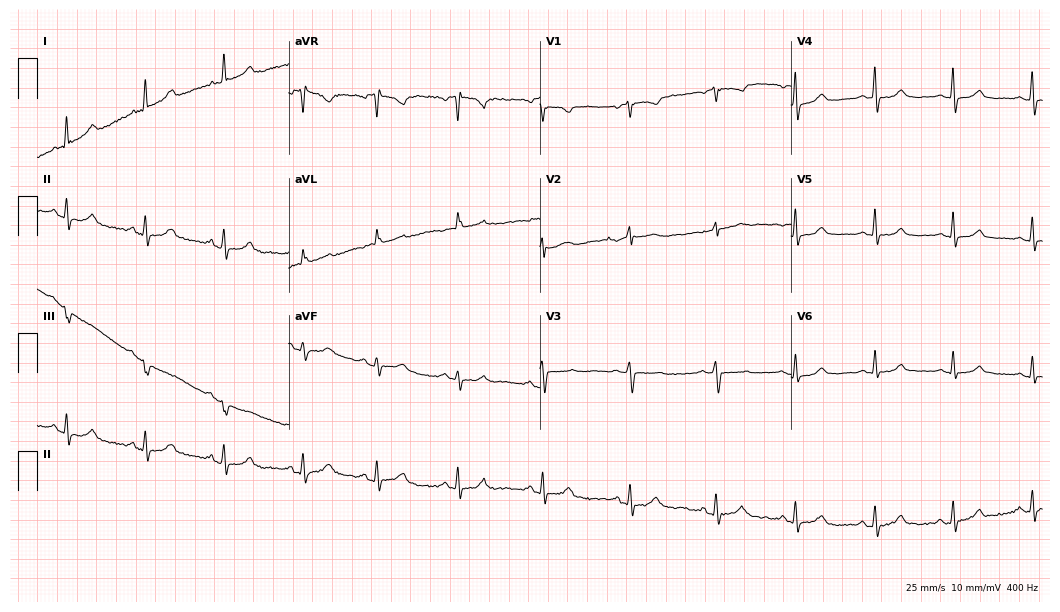
Resting 12-lead electrocardiogram. Patient: a 57-year-old female. None of these six findings is recorded: first-degree AV block, right bundle branch block, left bundle branch block, sinus bradycardia, atrial fibrillation, sinus tachycardia. Findings outside these six are not listed.